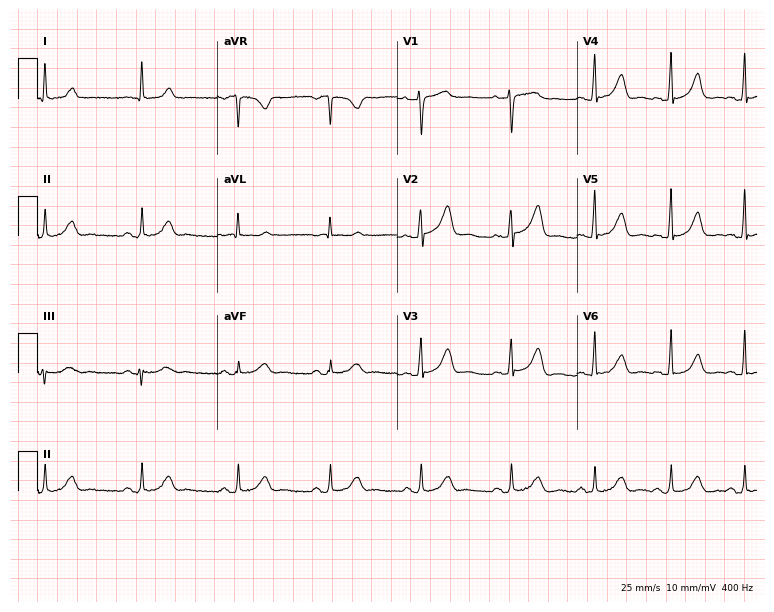
ECG (7.3-second recording at 400 Hz) — a female, 47 years old. Screened for six findings — first-degree AV block, right bundle branch block, left bundle branch block, sinus bradycardia, atrial fibrillation, sinus tachycardia — none is recorded.